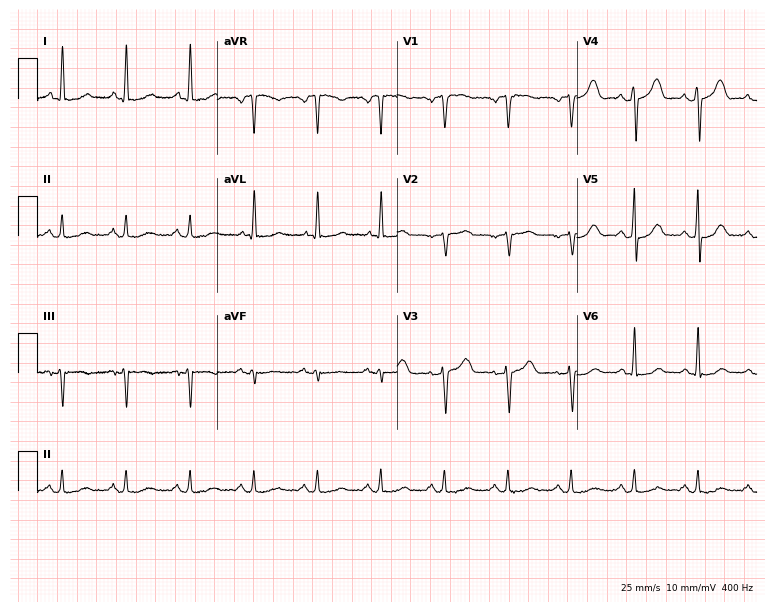
Electrocardiogram, a female patient, 68 years old. Of the six screened findings (first-degree AV block, right bundle branch block (RBBB), left bundle branch block (LBBB), sinus bradycardia, atrial fibrillation (AF), sinus tachycardia), none is recorded. Only these six findings were labelled.